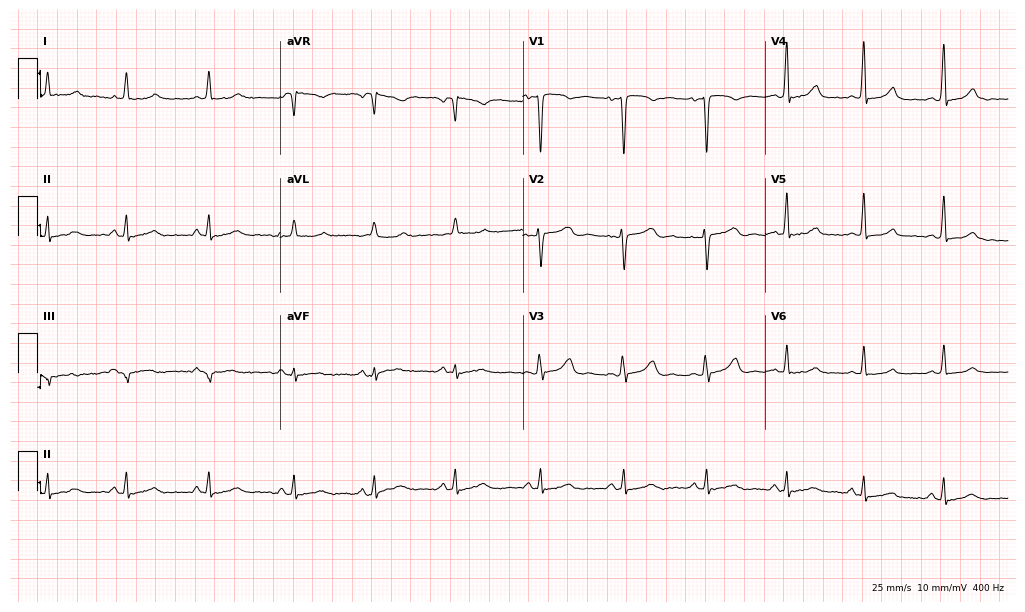
12-lead ECG from a 37-year-old female. Labelled as a normal ECG.